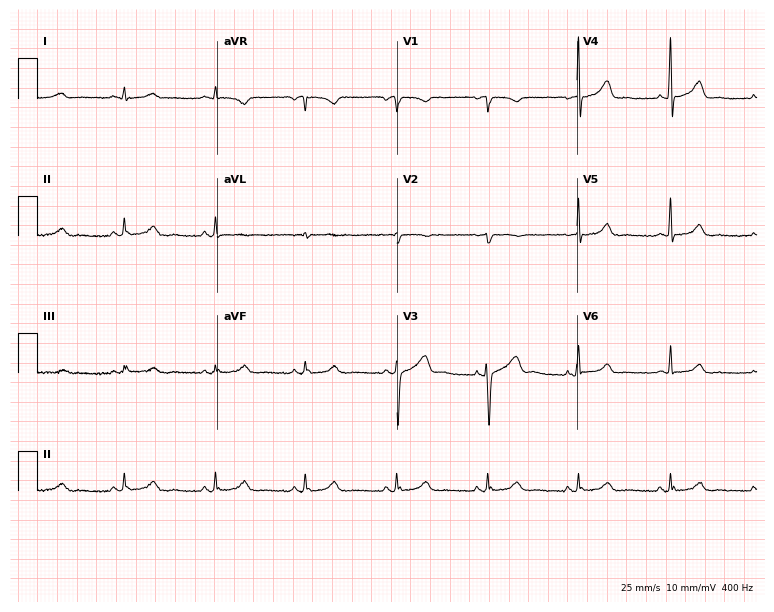
ECG (7.3-second recording at 400 Hz) — a 44-year-old female patient. Screened for six findings — first-degree AV block, right bundle branch block (RBBB), left bundle branch block (LBBB), sinus bradycardia, atrial fibrillation (AF), sinus tachycardia — none is recorded. Other findings, if any, are not listed.